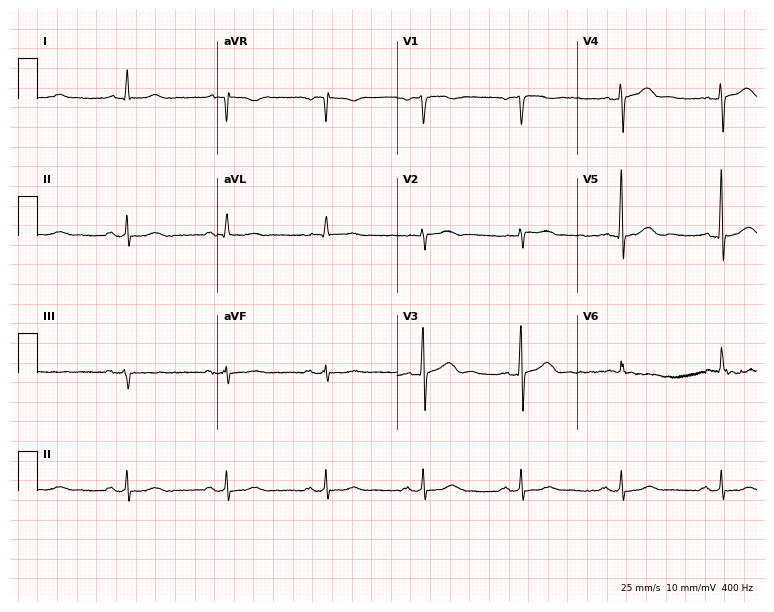
Electrocardiogram (7.3-second recording at 400 Hz), a 62-year-old man. Of the six screened findings (first-degree AV block, right bundle branch block, left bundle branch block, sinus bradycardia, atrial fibrillation, sinus tachycardia), none is recorded.